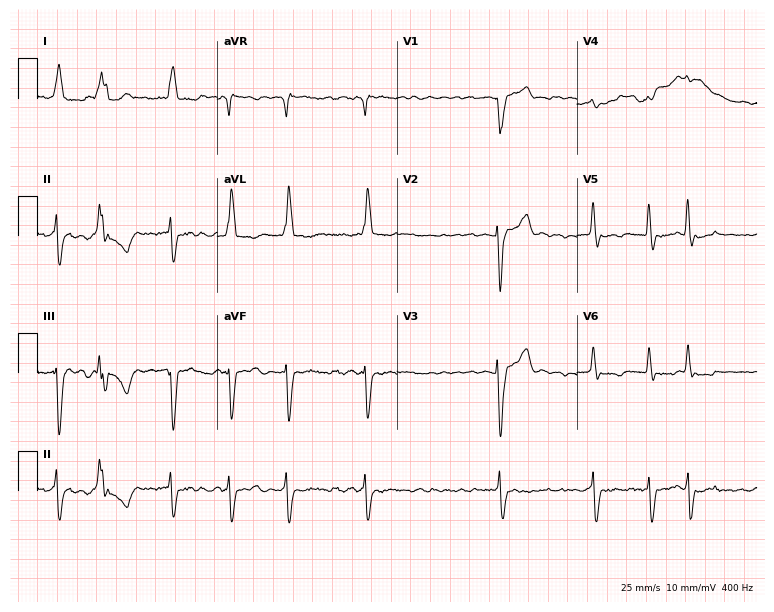
12-lead ECG from a 61-year-old man. Shows atrial fibrillation (AF).